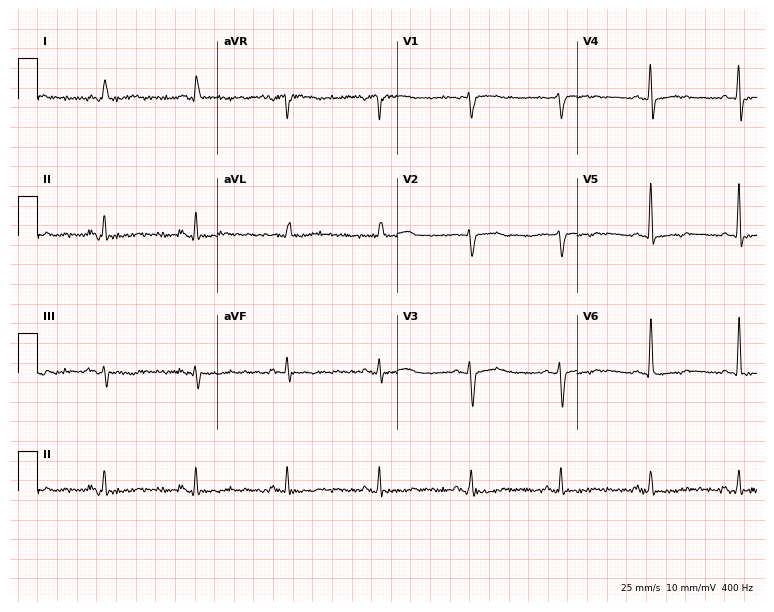
Standard 12-lead ECG recorded from a 72-year-old female patient. None of these six findings is recorded: first-degree AV block, right bundle branch block (RBBB), left bundle branch block (LBBB), sinus bradycardia, atrial fibrillation (AF), sinus tachycardia.